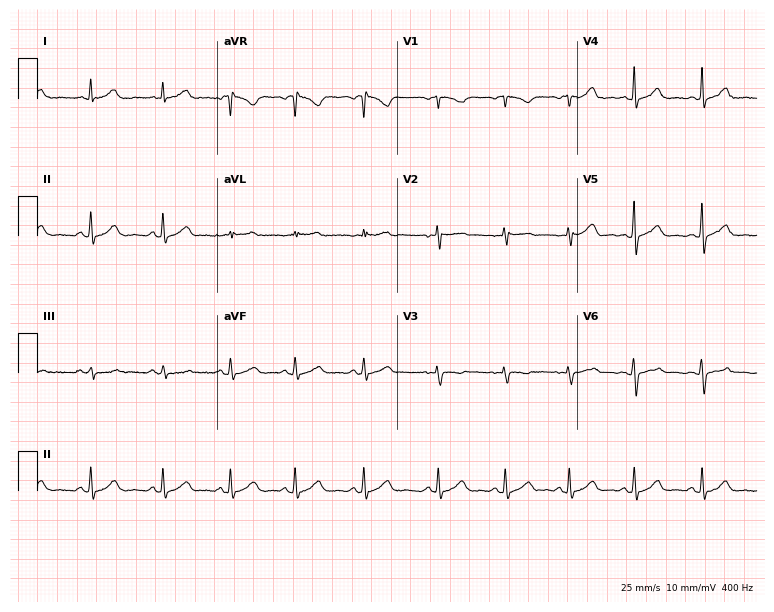
Resting 12-lead electrocardiogram (7.3-second recording at 400 Hz). Patient: a 39-year-old woman. Read as a normal ECG.